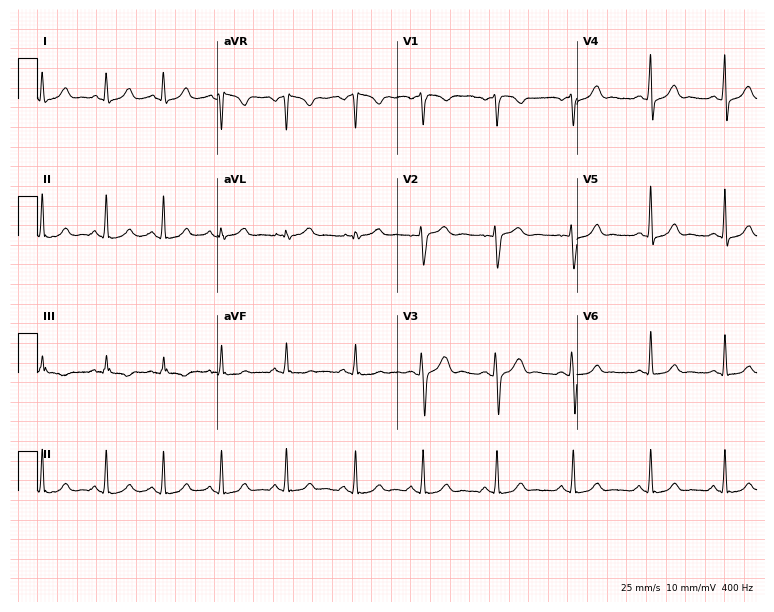
Resting 12-lead electrocardiogram (7.3-second recording at 400 Hz). Patient: a woman, 19 years old. Read as a normal ECG.